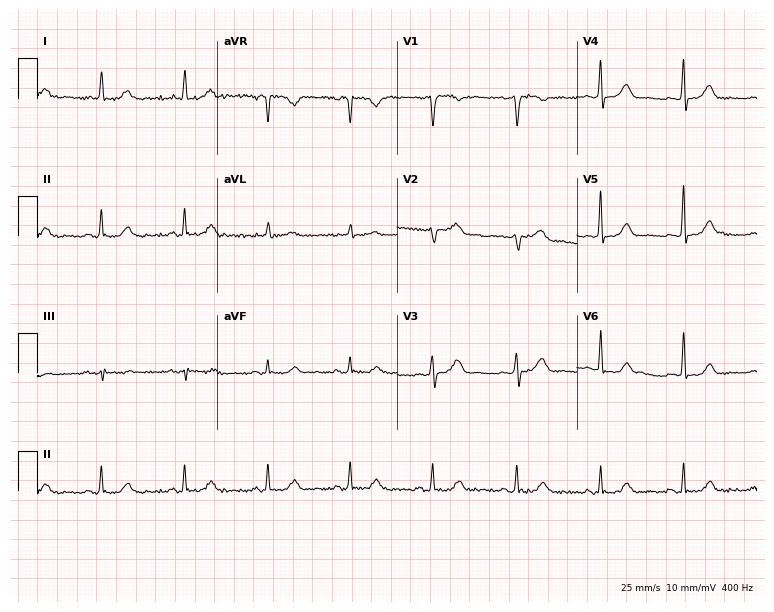
12-lead ECG from a 69-year-old woman. Screened for six findings — first-degree AV block, right bundle branch block, left bundle branch block, sinus bradycardia, atrial fibrillation, sinus tachycardia — none is recorded.